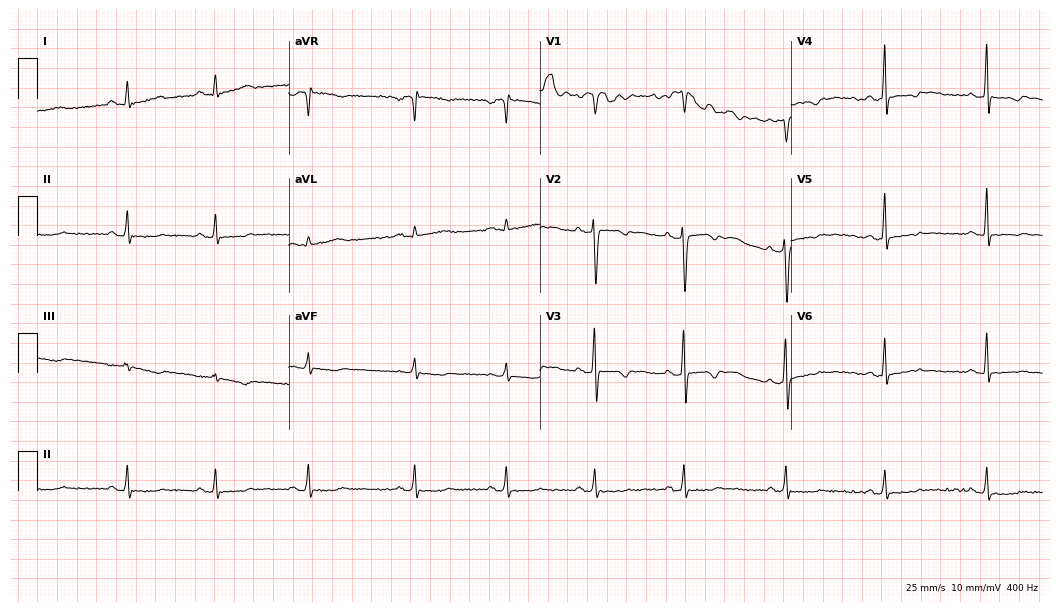
Electrocardiogram (10.2-second recording at 400 Hz), a 42-year-old woman. Of the six screened findings (first-degree AV block, right bundle branch block, left bundle branch block, sinus bradycardia, atrial fibrillation, sinus tachycardia), none is recorded. Findings outside these six are not listed.